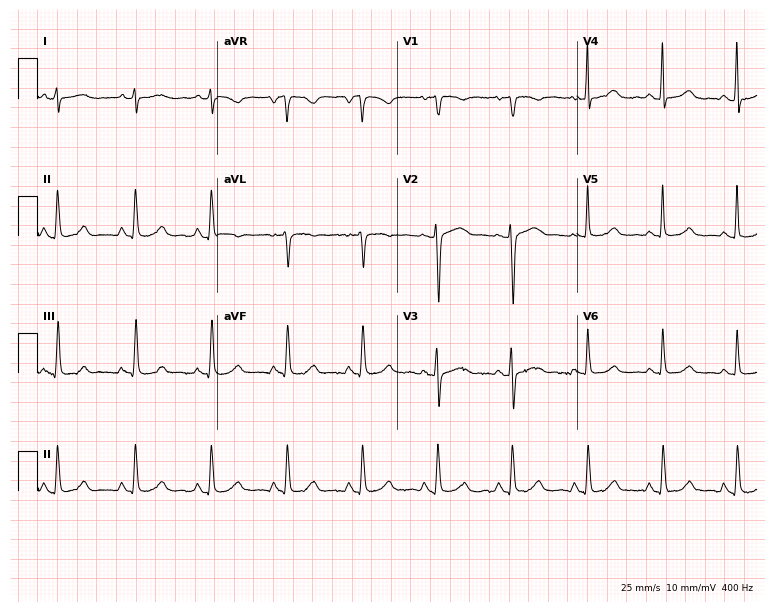
Resting 12-lead electrocardiogram. Patient: a 45-year-old woman. Read as a normal ECG.